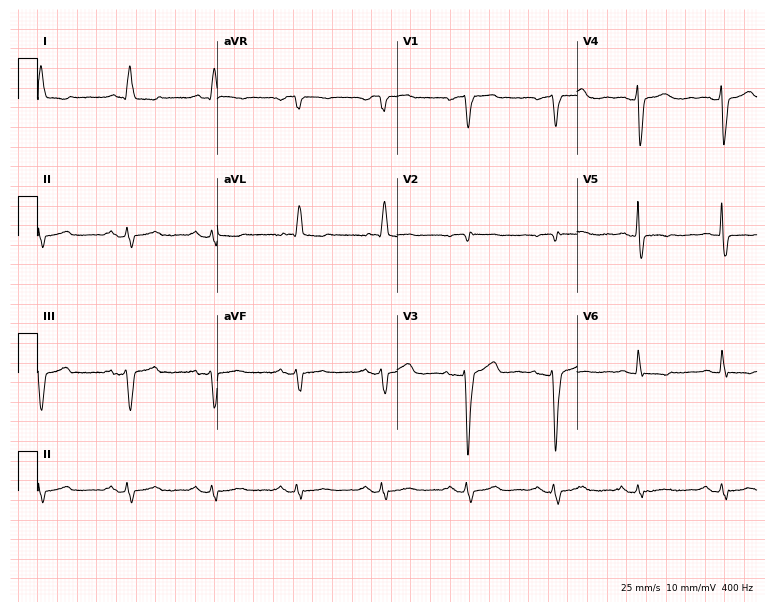
Electrocardiogram, a female, 73 years old. Of the six screened findings (first-degree AV block, right bundle branch block, left bundle branch block, sinus bradycardia, atrial fibrillation, sinus tachycardia), none is recorded.